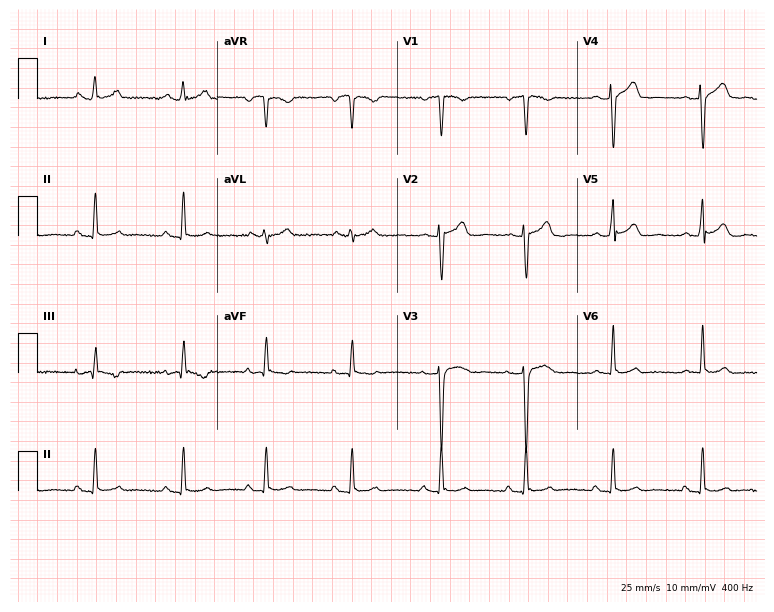
12-lead ECG from a 32-year-old female. Labelled as a normal ECG.